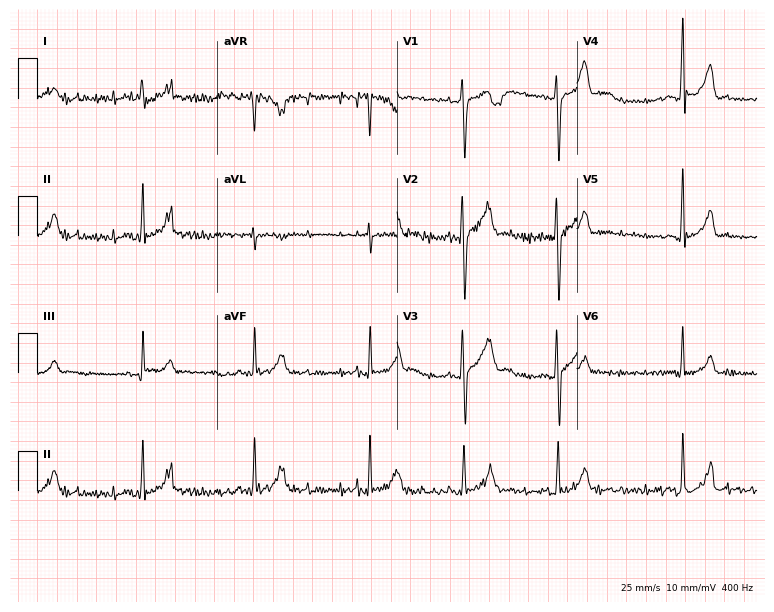
12-lead ECG from a man, 21 years old (7.3-second recording at 400 Hz). Recorded interpretation: within normal limits.